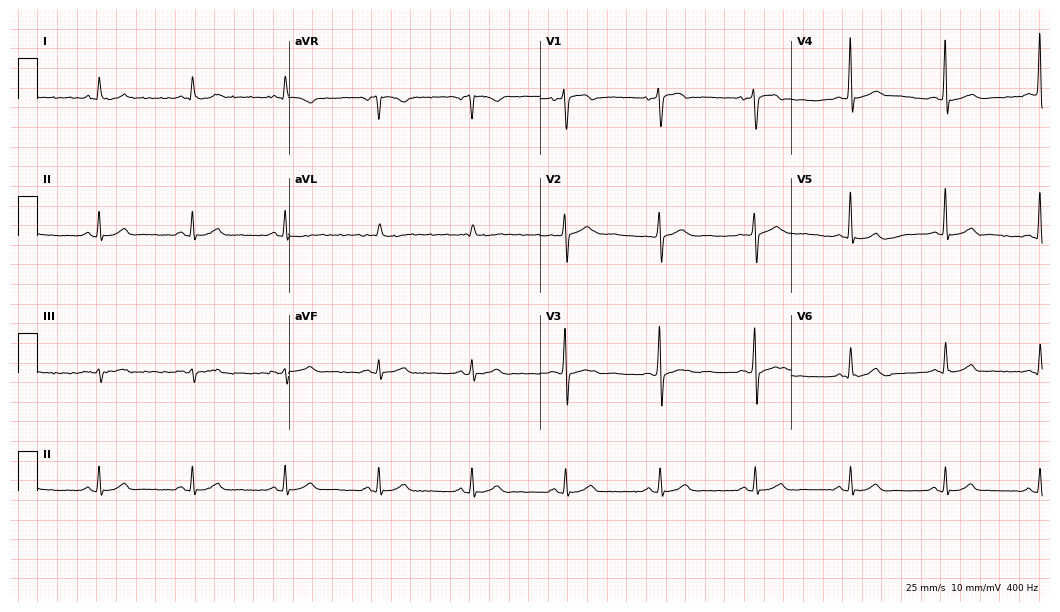
12-lead ECG from a man, 57 years old (10.2-second recording at 400 Hz). Recorded interpretation: within normal limits.